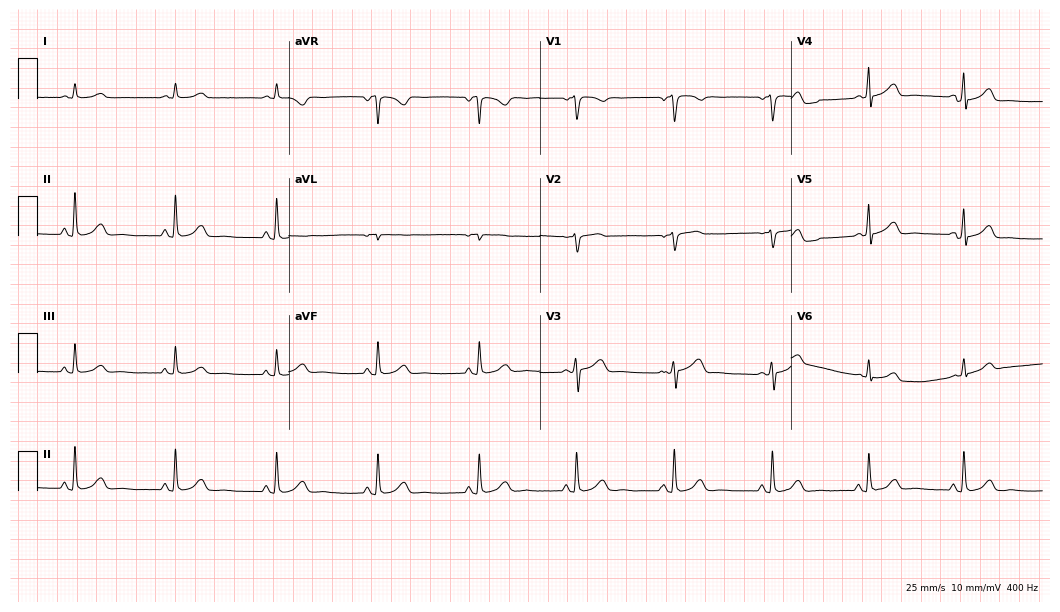
Electrocardiogram, a 54-year-old man. Overall reading on record: normal ECG.